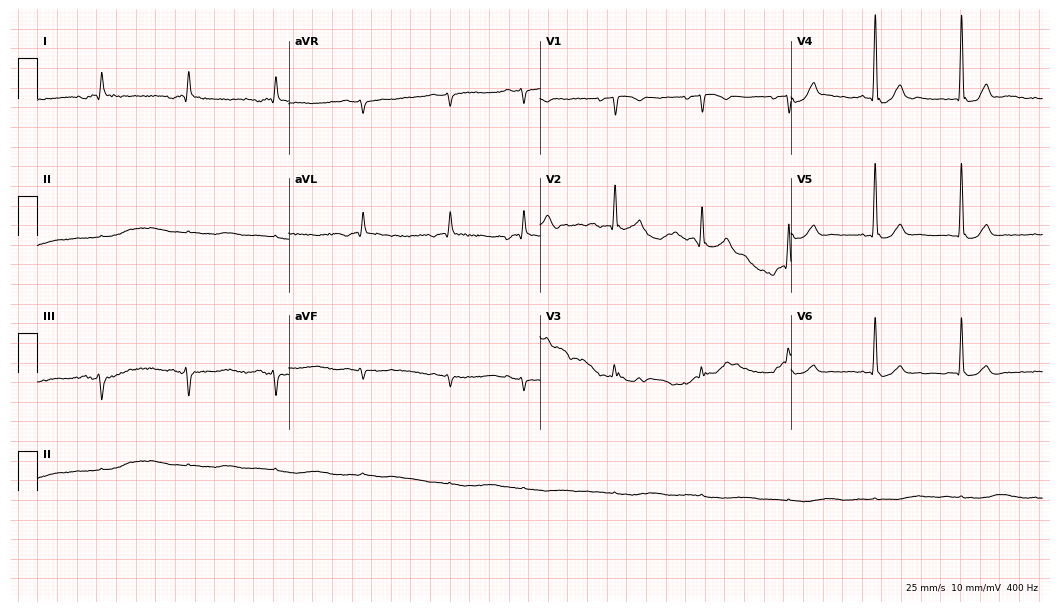
Standard 12-lead ECG recorded from a man, 69 years old (10.2-second recording at 400 Hz). None of these six findings is recorded: first-degree AV block, right bundle branch block, left bundle branch block, sinus bradycardia, atrial fibrillation, sinus tachycardia. Other findings, if any, are not listed.